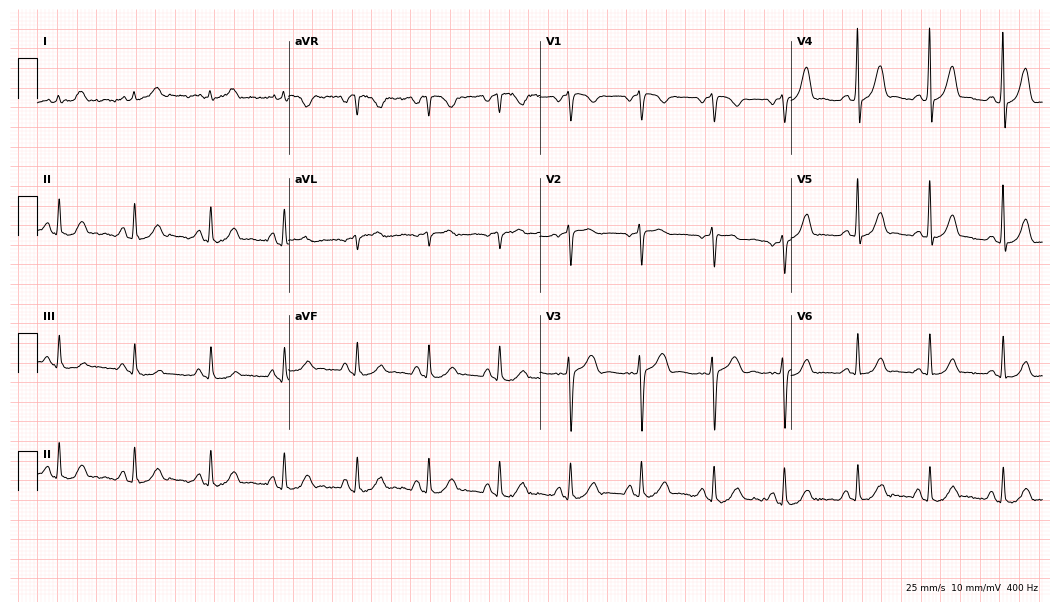
Standard 12-lead ECG recorded from a 51-year-old man (10.2-second recording at 400 Hz). None of these six findings is recorded: first-degree AV block, right bundle branch block, left bundle branch block, sinus bradycardia, atrial fibrillation, sinus tachycardia. Findings outside these six are not listed.